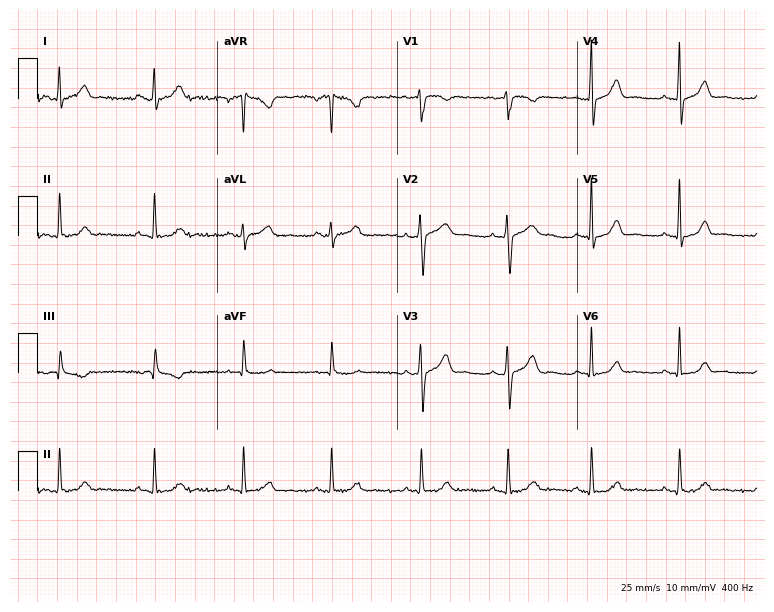
12-lead ECG from a female patient, 33 years old. Recorded interpretation: within normal limits.